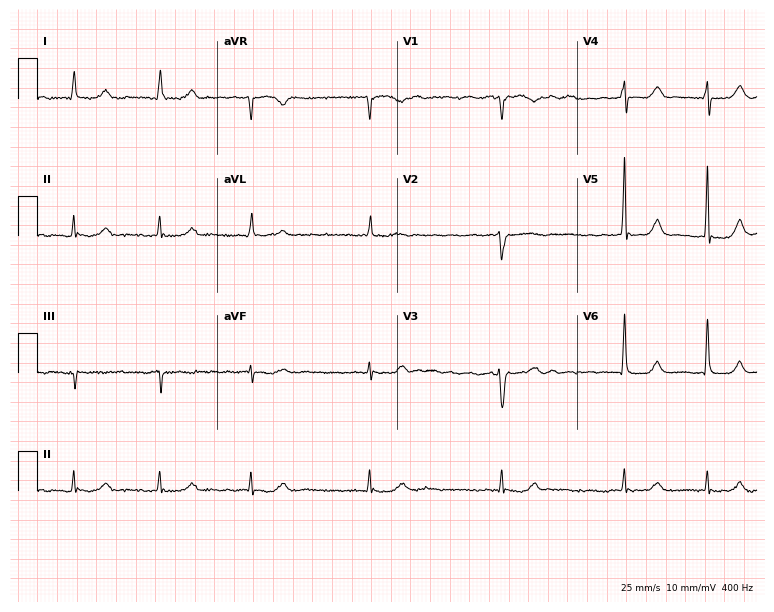
ECG — an 80-year-old woman. Findings include atrial fibrillation (AF).